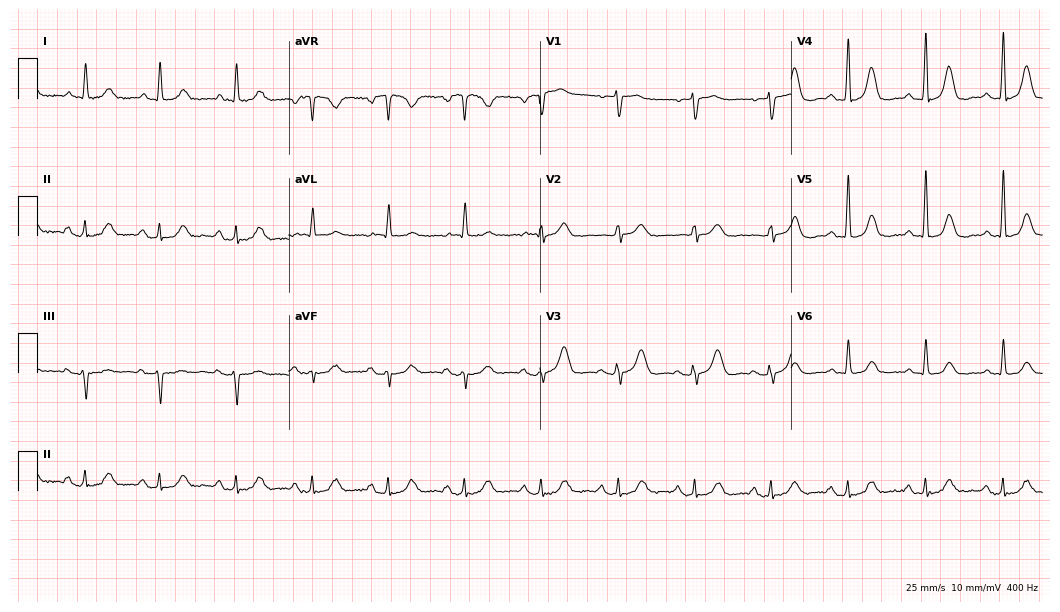
ECG — an 84-year-old female patient. Labelled as a normal ECG.